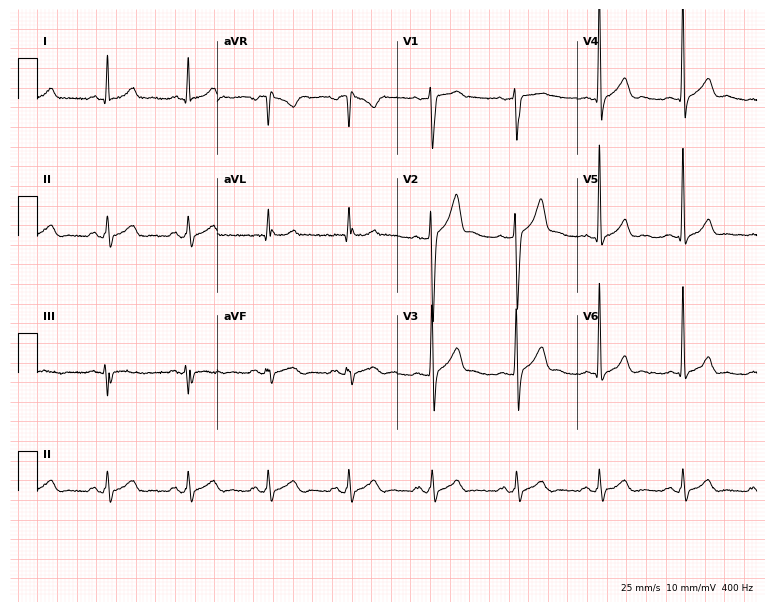
ECG (7.3-second recording at 400 Hz) — a 35-year-old man. Labelled as a normal ECG.